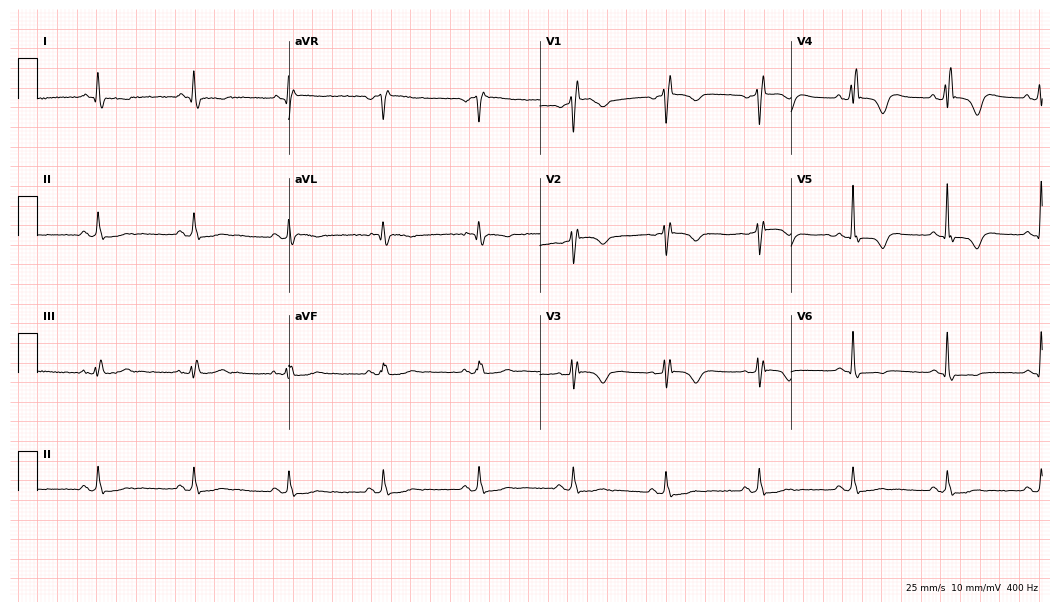
Resting 12-lead electrocardiogram (10.2-second recording at 400 Hz). Patient: a 72-year-old man. None of these six findings is recorded: first-degree AV block, right bundle branch block, left bundle branch block, sinus bradycardia, atrial fibrillation, sinus tachycardia.